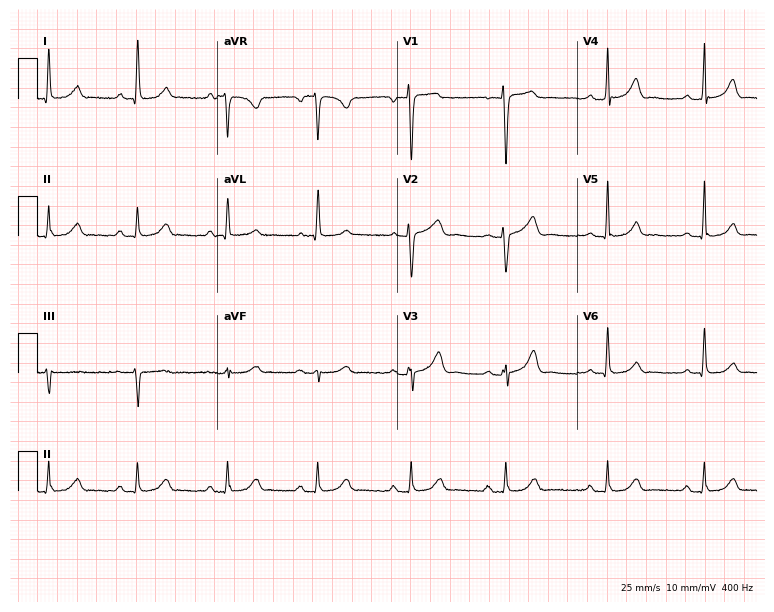
Standard 12-lead ECG recorded from a female, 60 years old. Read as a normal ECG.